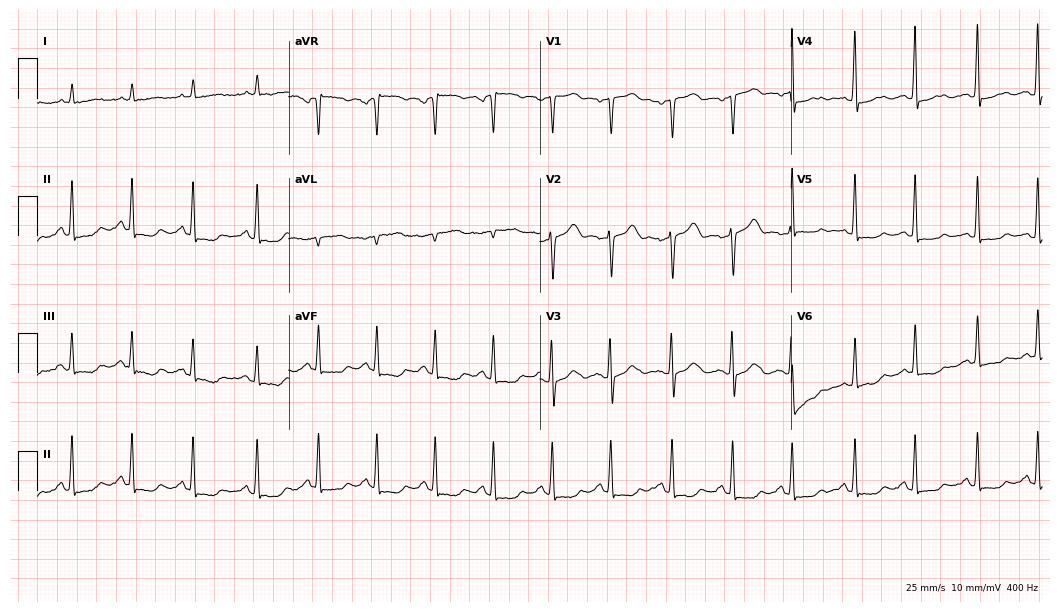
Electrocardiogram, a woman, 54 years old. Of the six screened findings (first-degree AV block, right bundle branch block, left bundle branch block, sinus bradycardia, atrial fibrillation, sinus tachycardia), none is recorded. Only these six findings were labelled.